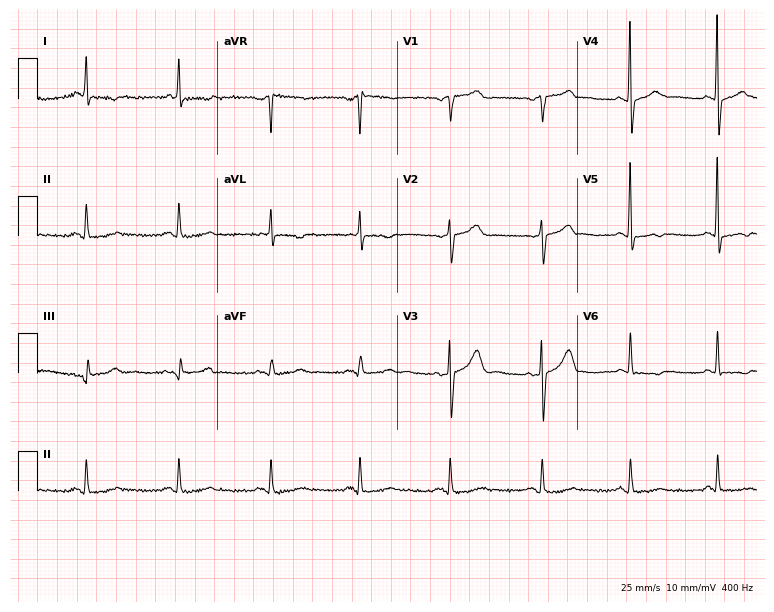
Resting 12-lead electrocardiogram (7.3-second recording at 400 Hz). Patient: a 68-year-old female. None of these six findings is recorded: first-degree AV block, right bundle branch block, left bundle branch block, sinus bradycardia, atrial fibrillation, sinus tachycardia.